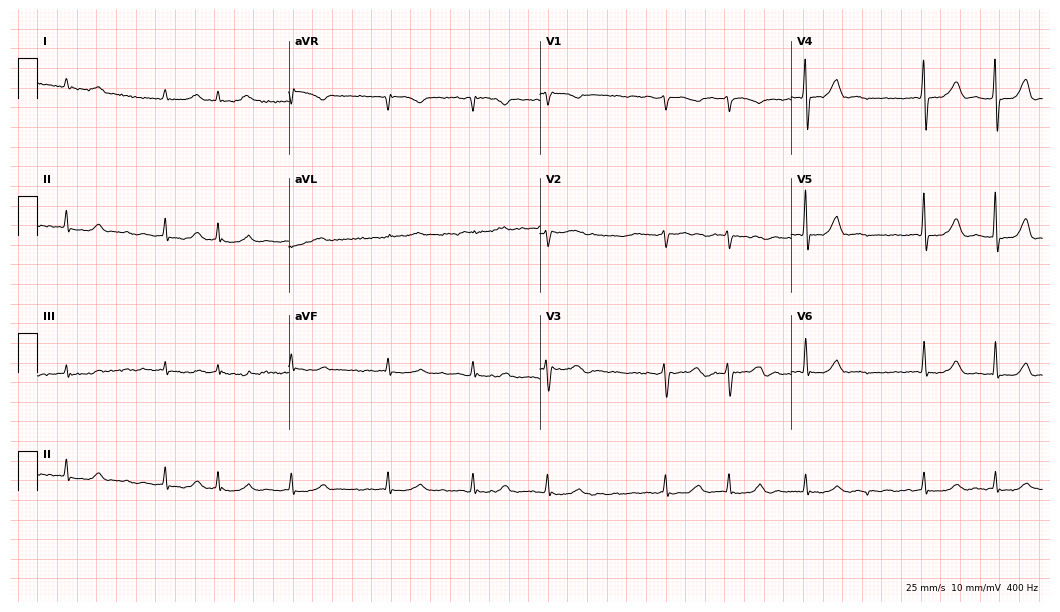
Resting 12-lead electrocardiogram. Patient: a male, 74 years old. The tracing shows atrial fibrillation (AF).